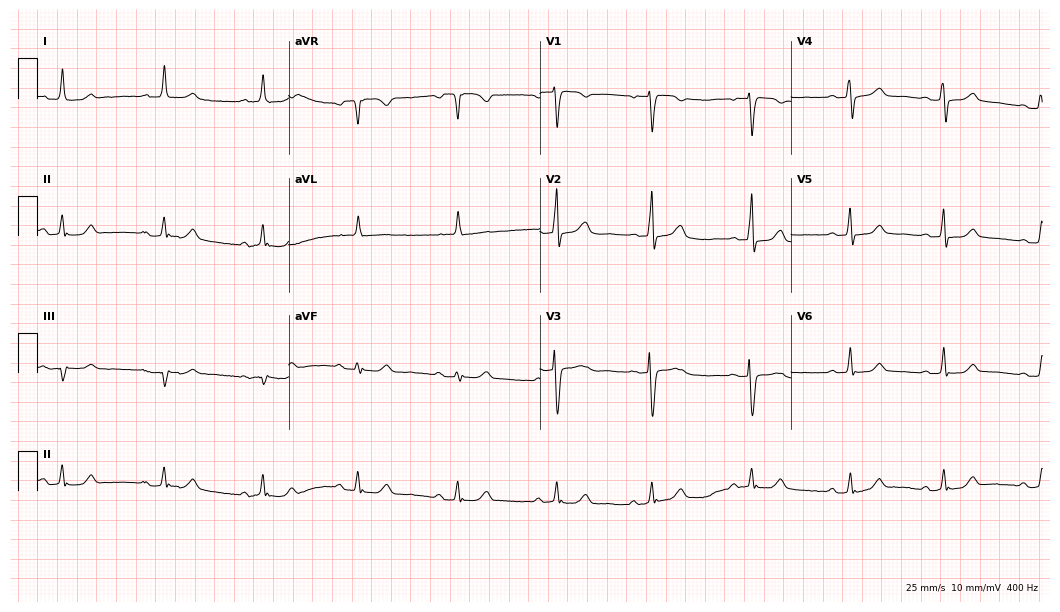
ECG (10.2-second recording at 400 Hz) — a woman, 74 years old. Labelled as a normal ECG.